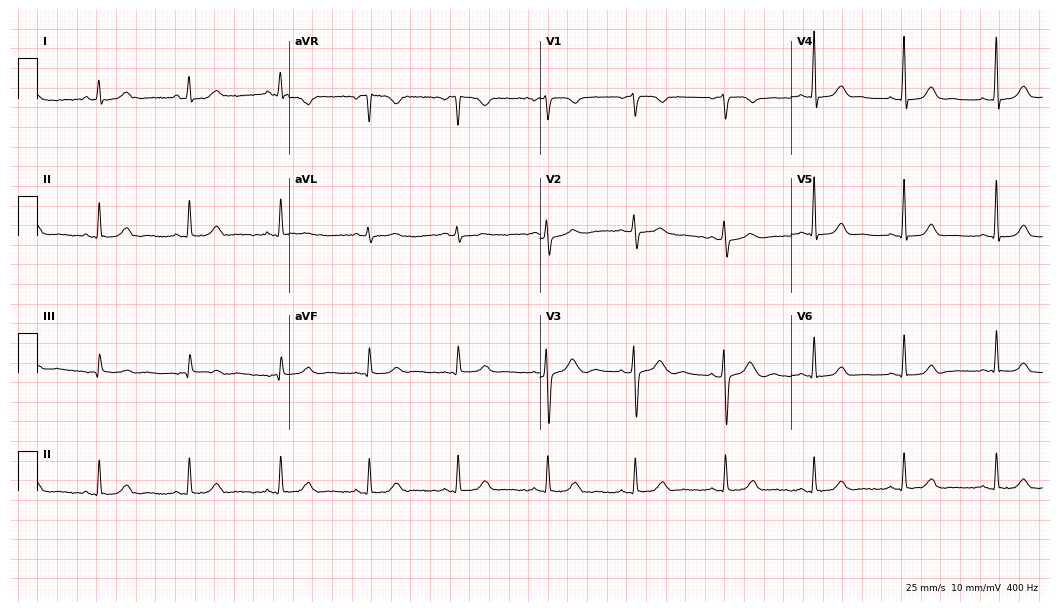
Standard 12-lead ECG recorded from an 18-year-old male (10.2-second recording at 400 Hz). Read as a normal ECG.